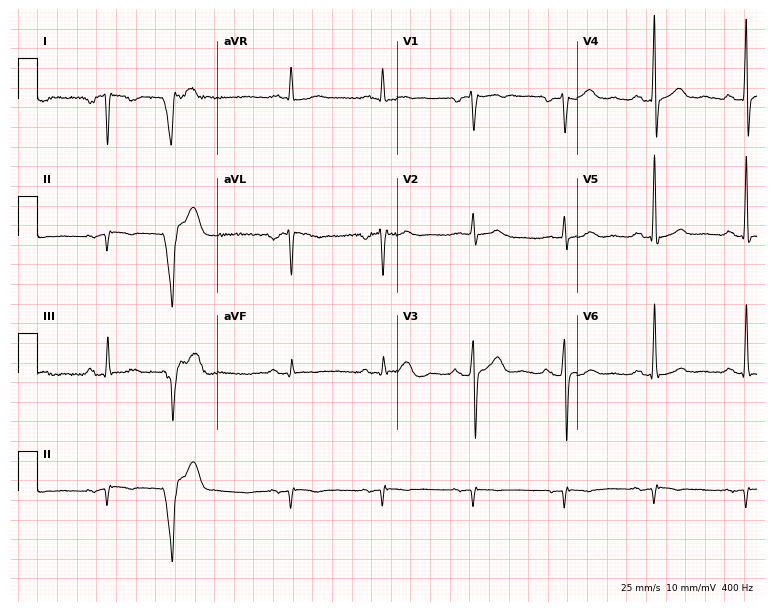
Standard 12-lead ECG recorded from a male patient, 50 years old. None of these six findings is recorded: first-degree AV block, right bundle branch block, left bundle branch block, sinus bradycardia, atrial fibrillation, sinus tachycardia.